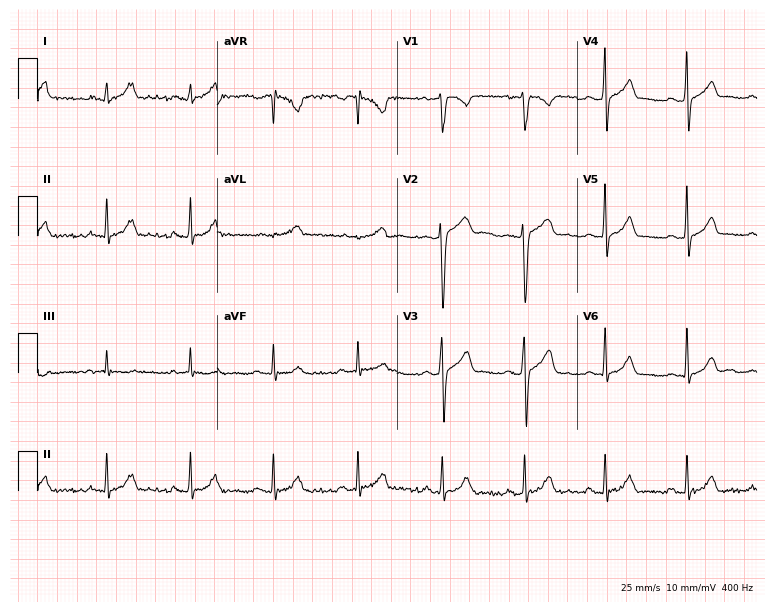
12-lead ECG (7.3-second recording at 400 Hz) from a 23-year-old male patient. Labelled as a normal ECG.